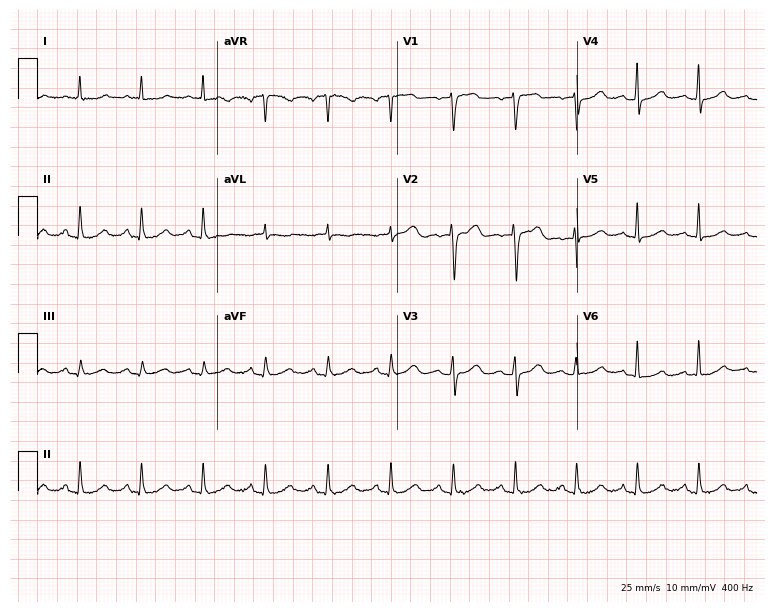
12-lead ECG from a female patient, 69 years old. Screened for six findings — first-degree AV block, right bundle branch block, left bundle branch block, sinus bradycardia, atrial fibrillation, sinus tachycardia — none is recorded.